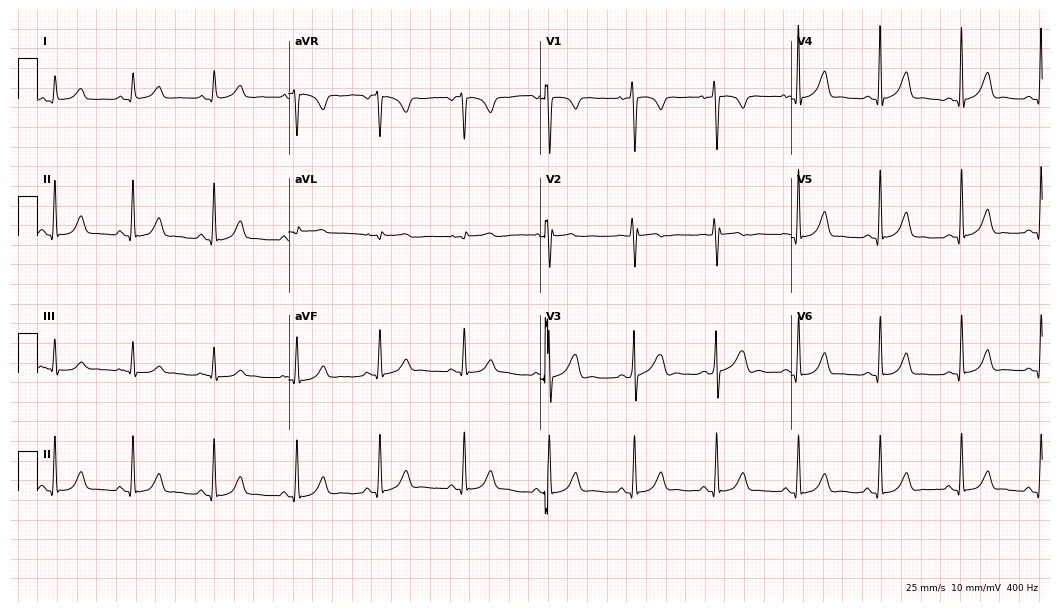
12-lead ECG from a female, 53 years old. Recorded interpretation: within normal limits.